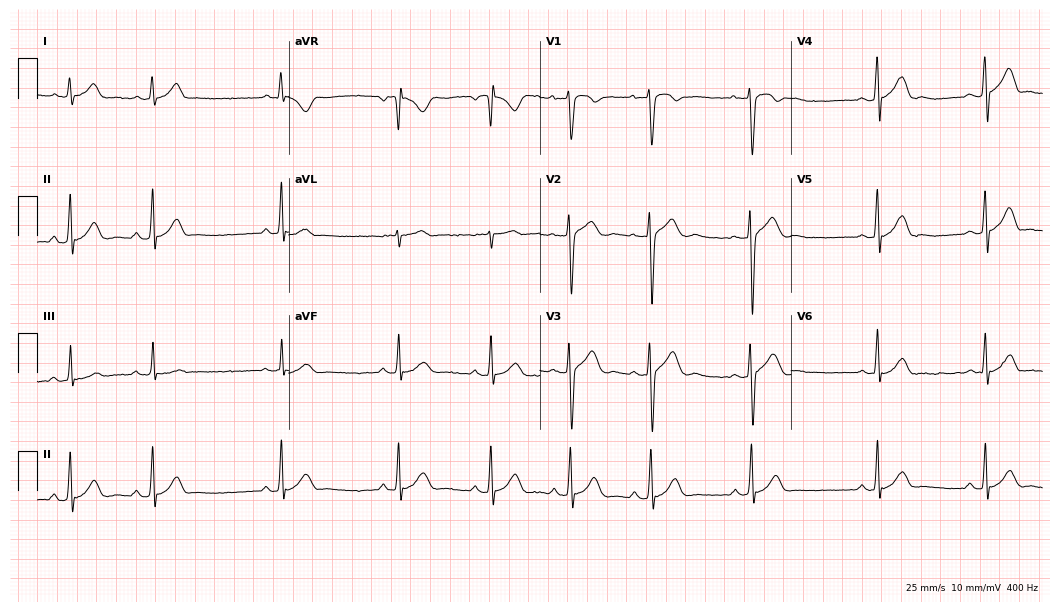
Standard 12-lead ECG recorded from a male patient, 20 years old. Read as a normal ECG.